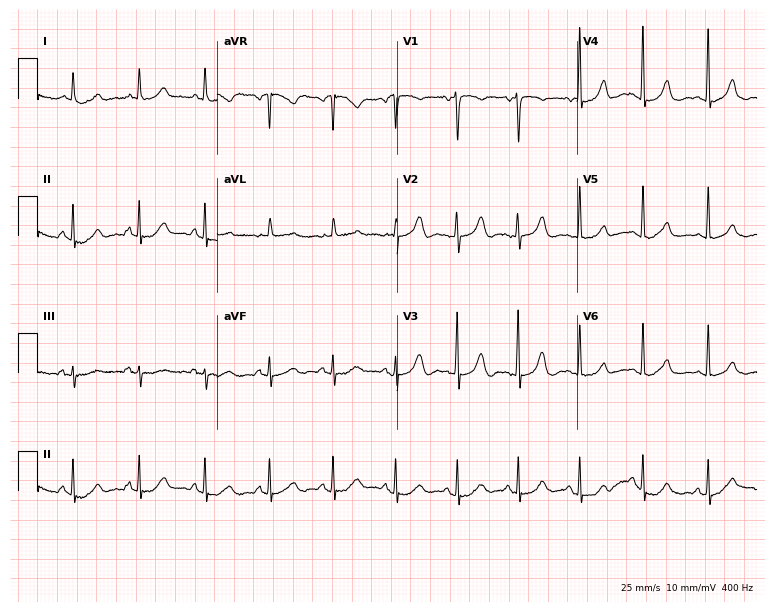
12-lead ECG (7.3-second recording at 400 Hz) from a woman, 60 years old. Labelled as a normal ECG.